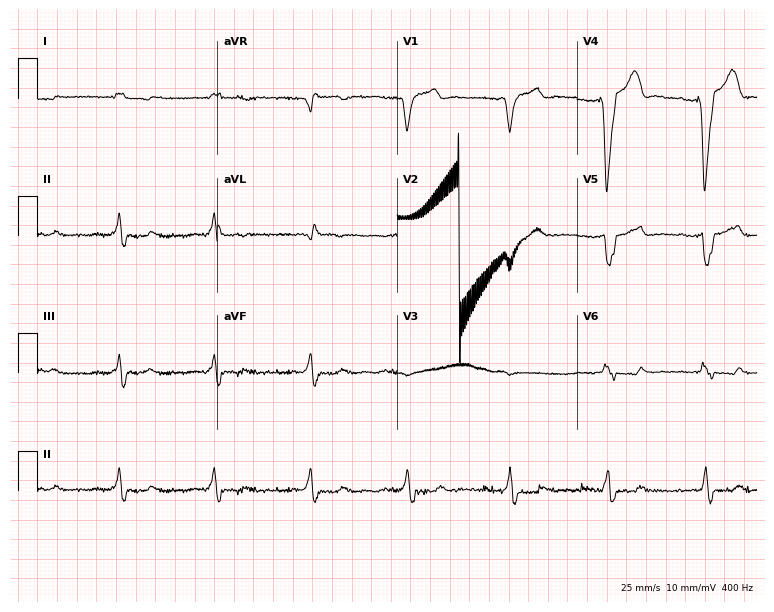
Electrocardiogram, a man, 73 years old. Interpretation includes left bundle branch block (LBBB), atrial fibrillation (AF).